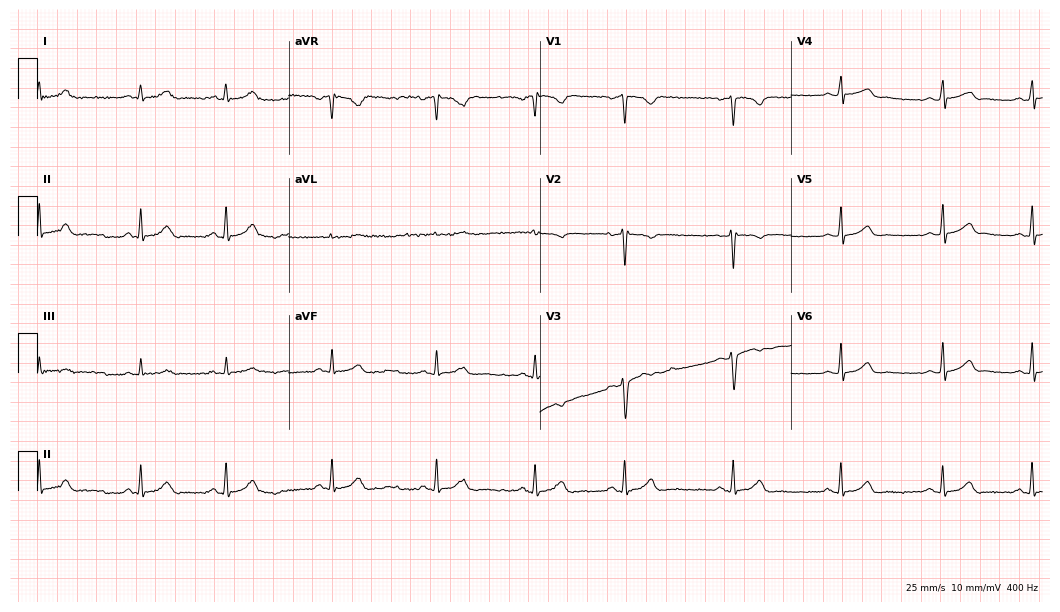
ECG — a female, 22 years old. Labelled as a normal ECG.